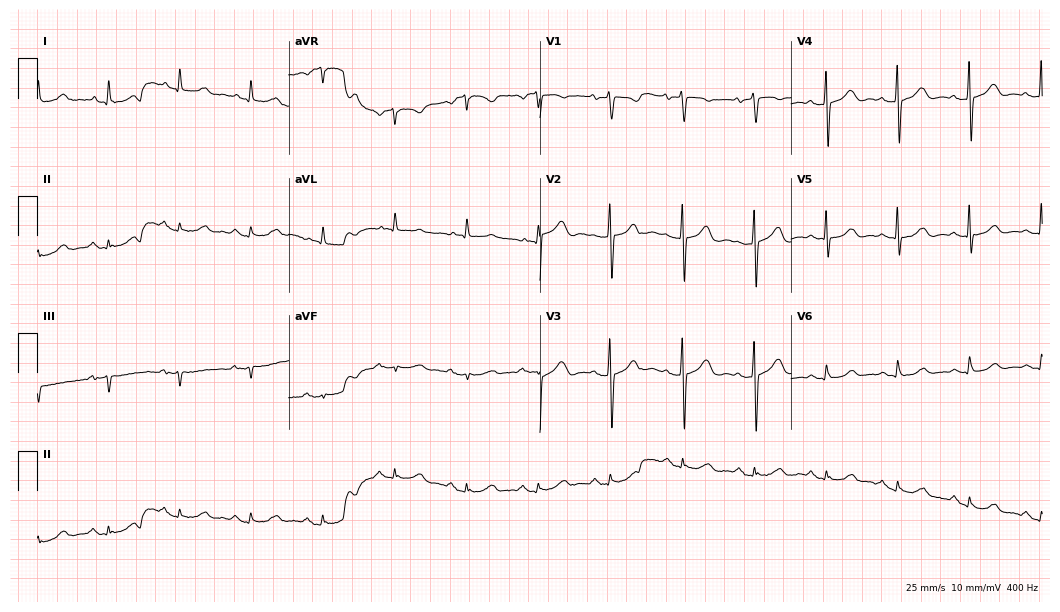
Electrocardiogram, a male patient, 81 years old. Overall reading on record: normal ECG.